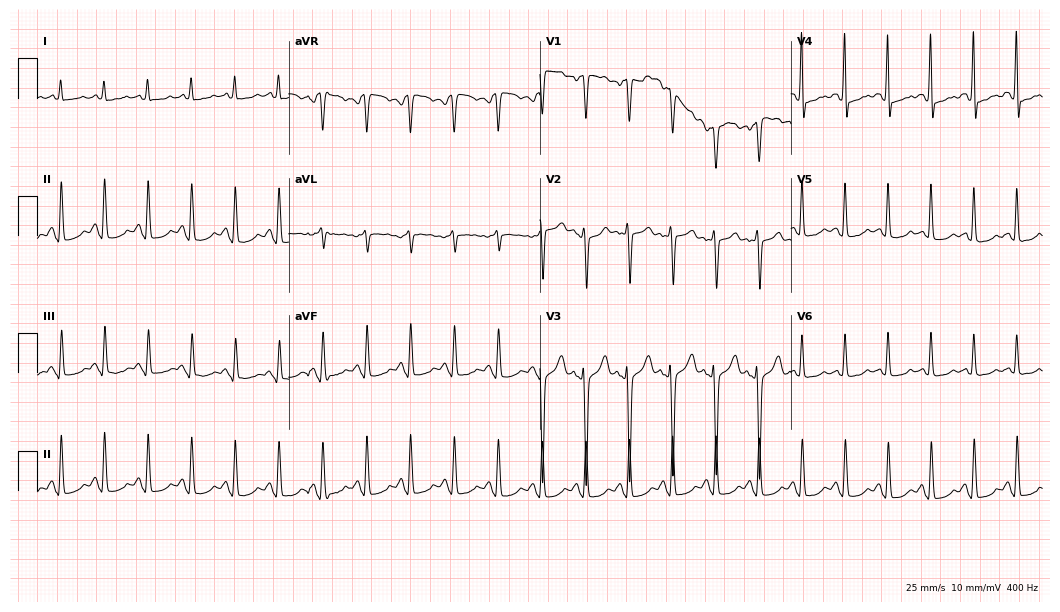
12-lead ECG from a 34-year-old woman. Shows sinus tachycardia (a sinus rate of 100 beats per minute or more).